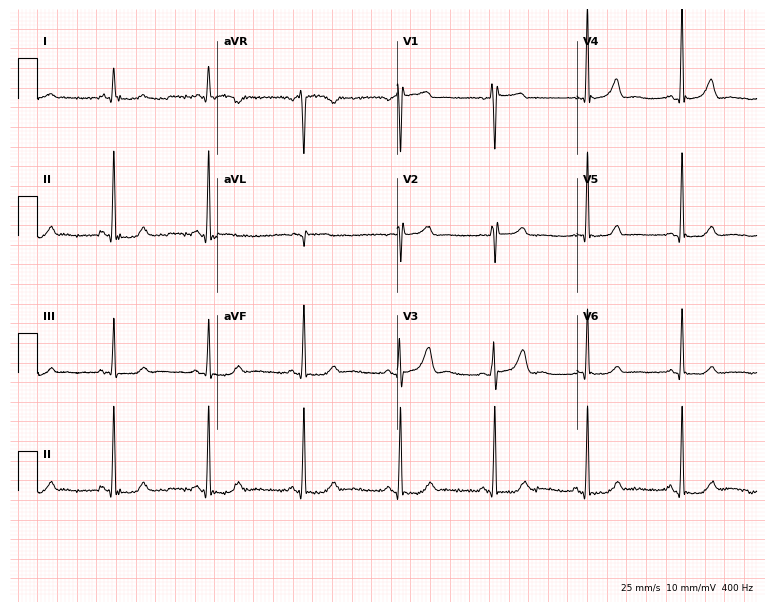
Resting 12-lead electrocardiogram (7.3-second recording at 400 Hz). Patient: a female, 47 years old. None of these six findings is recorded: first-degree AV block, right bundle branch block, left bundle branch block, sinus bradycardia, atrial fibrillation, sinus tachycardia. Other findings, if any, are not listed.